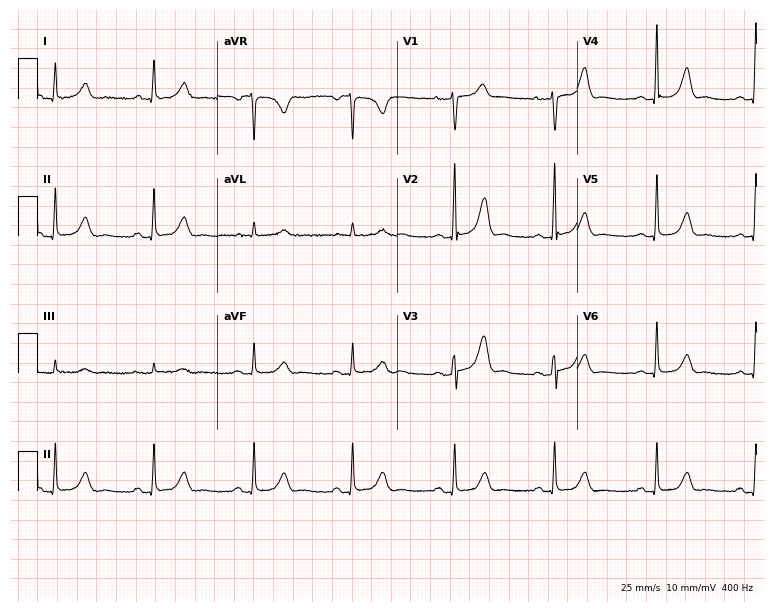
12-lead ECG from a 61-year-old female patient (7.3-second recording at 400 Hz). Recorded interpretation: within normal limits.